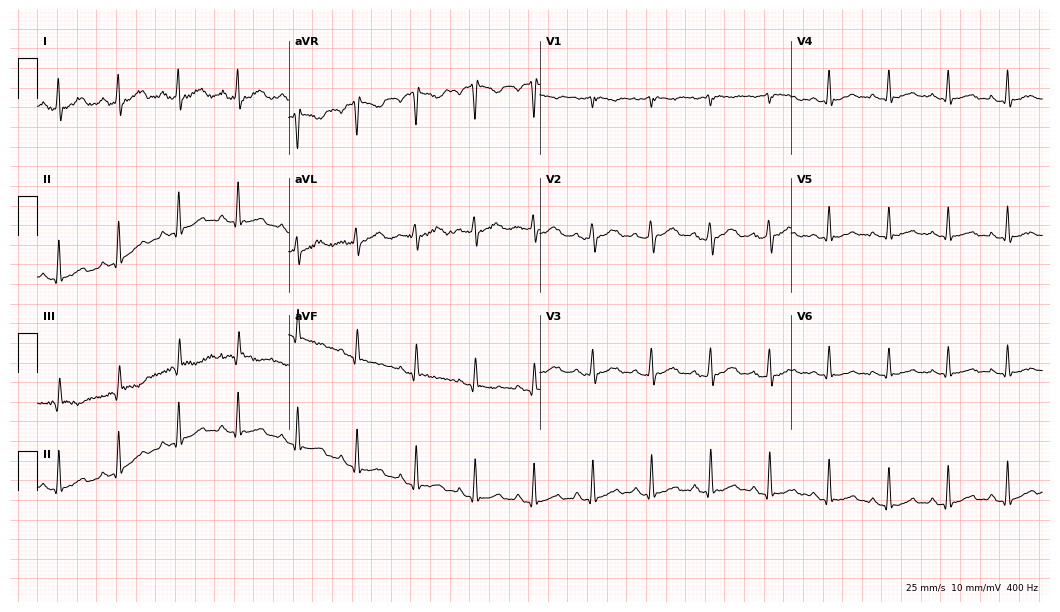
ECG — a 35-year-old woman. Labelled as a normal ECG.